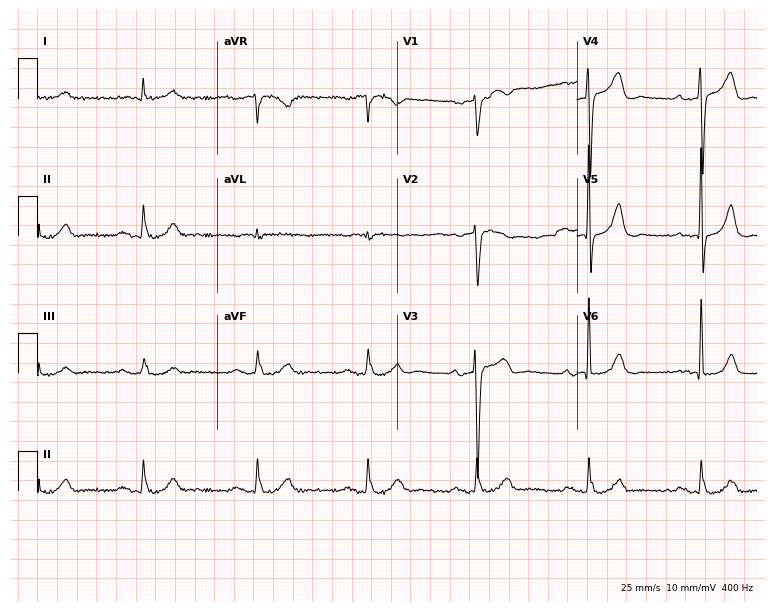
12-lead ECG from a 75-year-old man. Recorded interpretation: within normal limits.